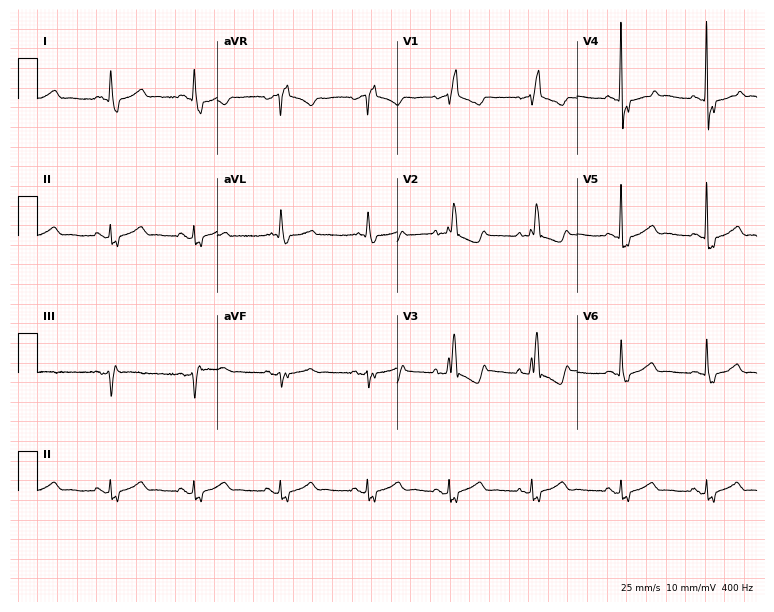
Standard 12-lead ECG recorded from an 80-year-old female patient. The tracing shows right bundle branch block.